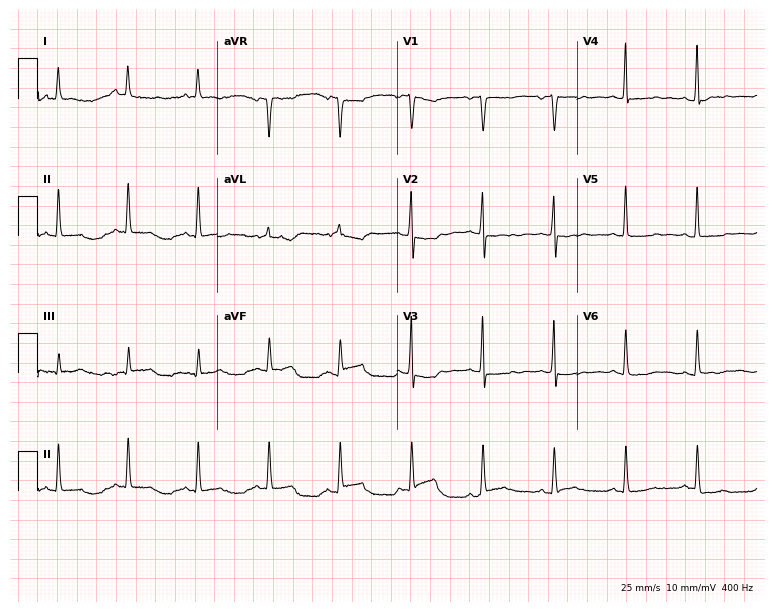
Electrocardiogram, a woman, 47 years old. Of the six screened findings (first-degree AV block, right bundle branch block, left bundle branch block, sinus bradycardia, atrial fibrillation, sinus tachycardia), none is recorded.